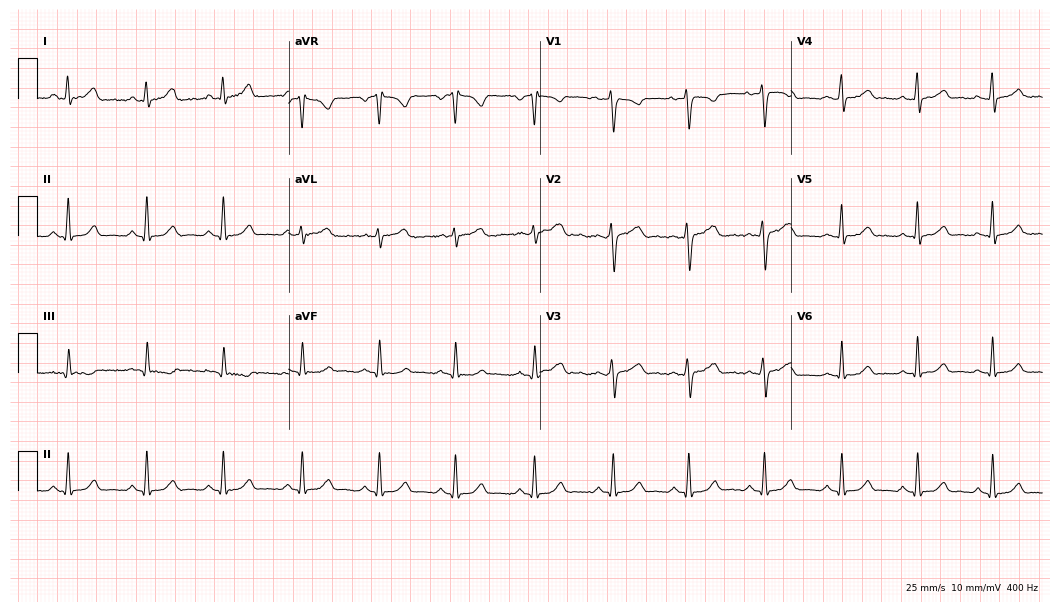
Standard 12-lead ECG recorded from a 33-year-old female patient. None of these six findings is recorded: first-degree AV block, right bundle branch block, left bundle branch block, sinus bradycardia, atrial fibrillation, sinus tachycardia. Only these six findings were labelled.